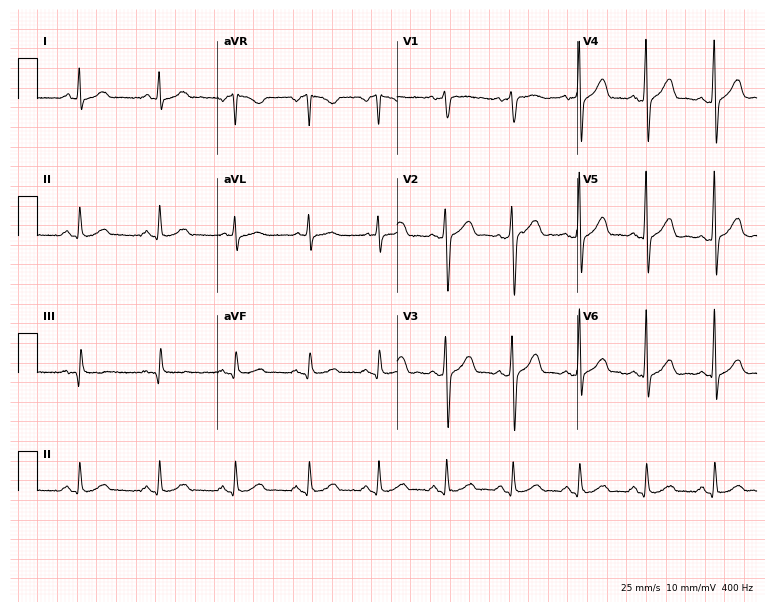
12-lead ECG from a 61-year-old male patient (7.3-second recording at 400 Hz). No first-degree AV block, right bundle branch block, left bundle branch block, sinus bradycardia, atrial fibrillation or sinus tachycardia recorded for this tracing.